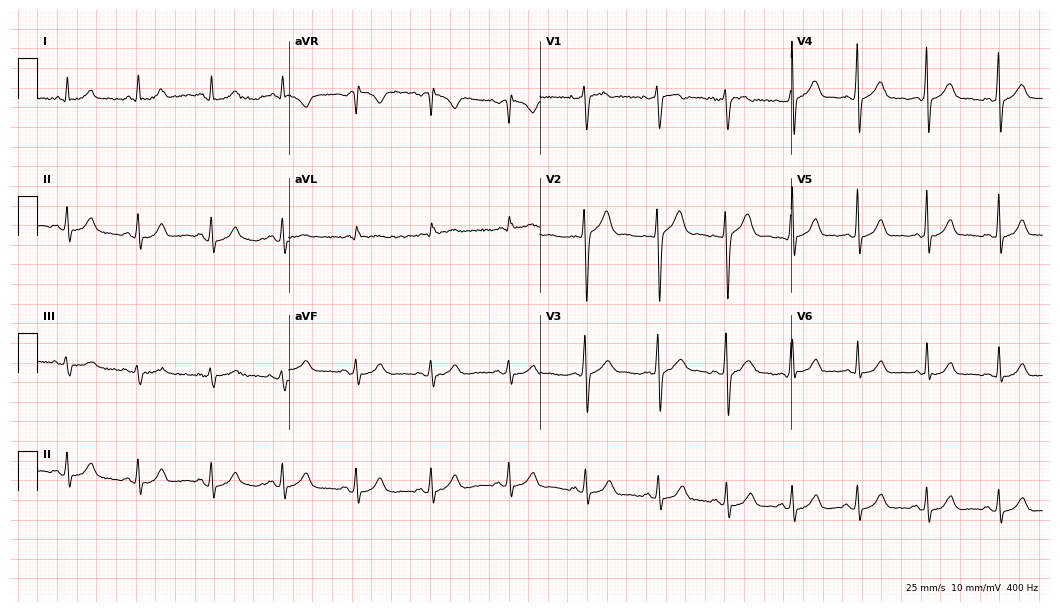
12-lead ECG from a 27-year-old man. Labelled as a normal ECG.